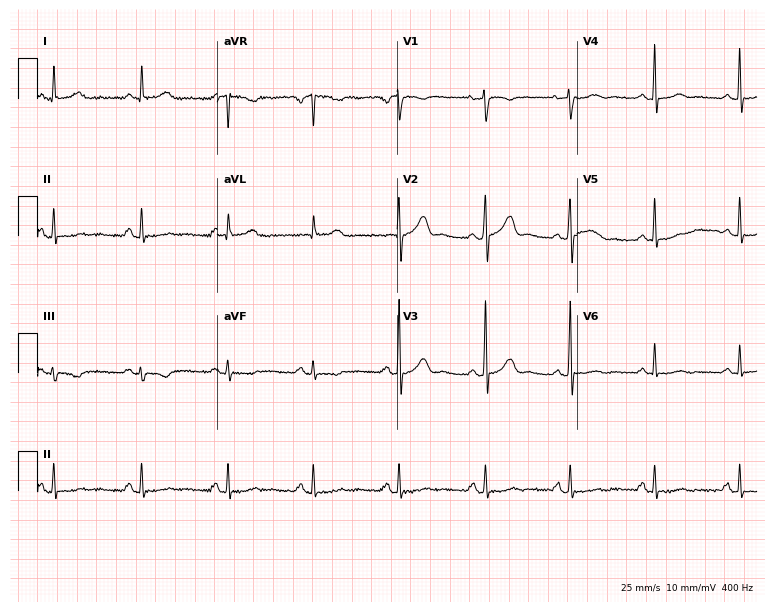
12-lead ECG from a 56-year-old female patient (7.3-second recording at 400 Hz). No first-degree AV block, right bundle branch block (RBBB), left bundle branch block (LBBB), sinus bradycardia, atrial fibrillation (AF) or sinus tachycardia recorded for this tracing.